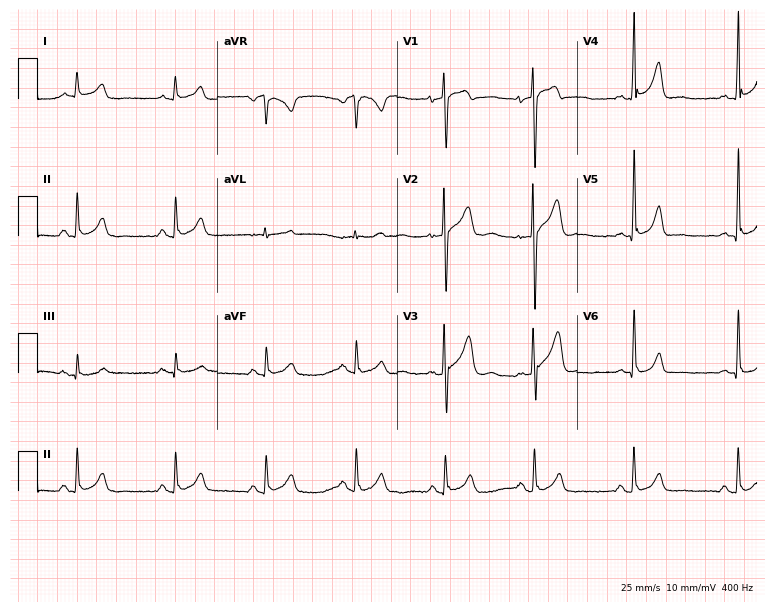
Resting 12-lead electrocardiogram. Patient: a 30-year-old man. None of these six findings is recorded: first-degree AV block, right bundle branch block, left bundle branch block, sinus bradycardia, atrial fibrillation, sinus tachycardia.